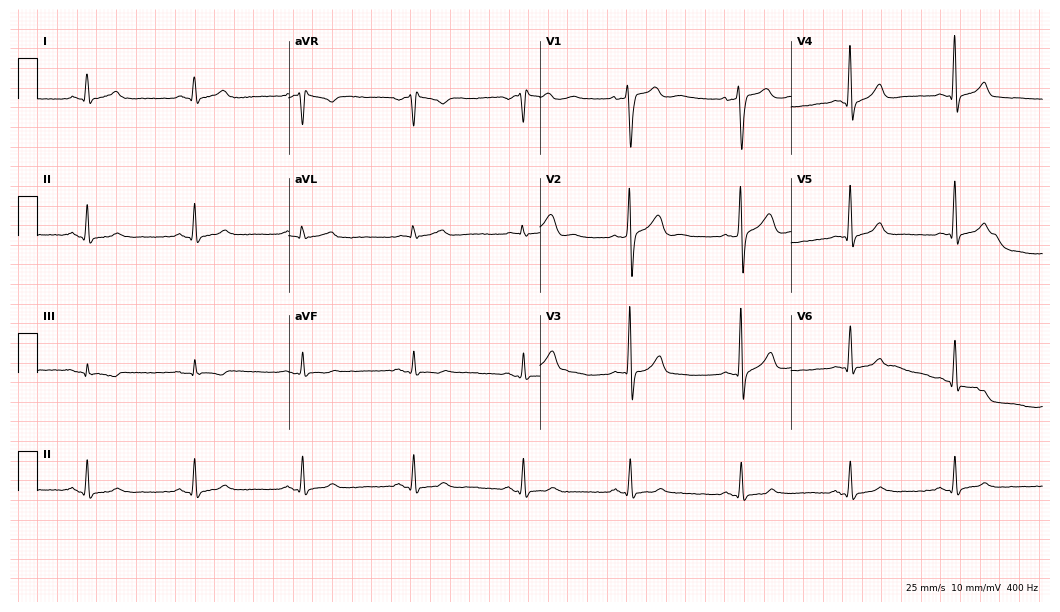
12-lead ECG from a 52-year-old man (10.2-second recording at 400 Hz). No first-degree AV block, right bundle branch block, left bundle branch block, sinus bradycardia, atrial fibrillation or sinus tachycardia recorded for this tracing.